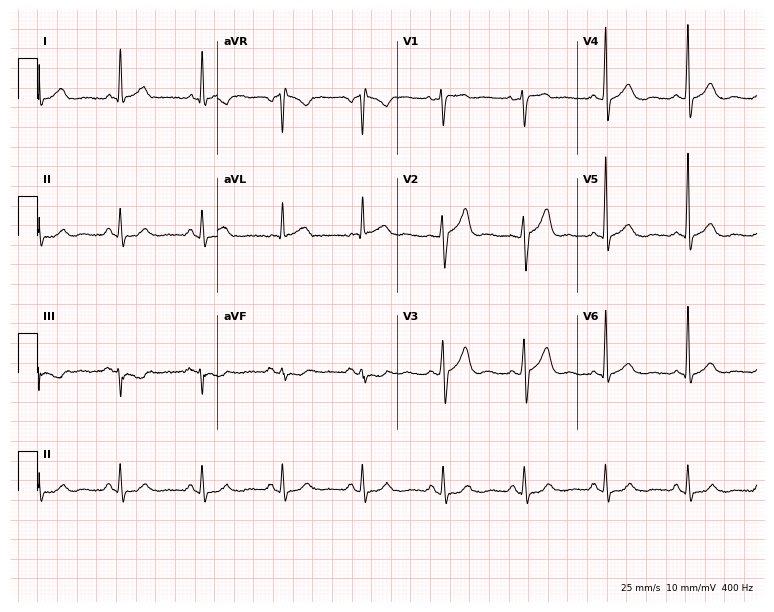
12-lead ECG (7.3-second recording at 400 Hz) from a 61-year-old male. Labelled as a normal ECG.